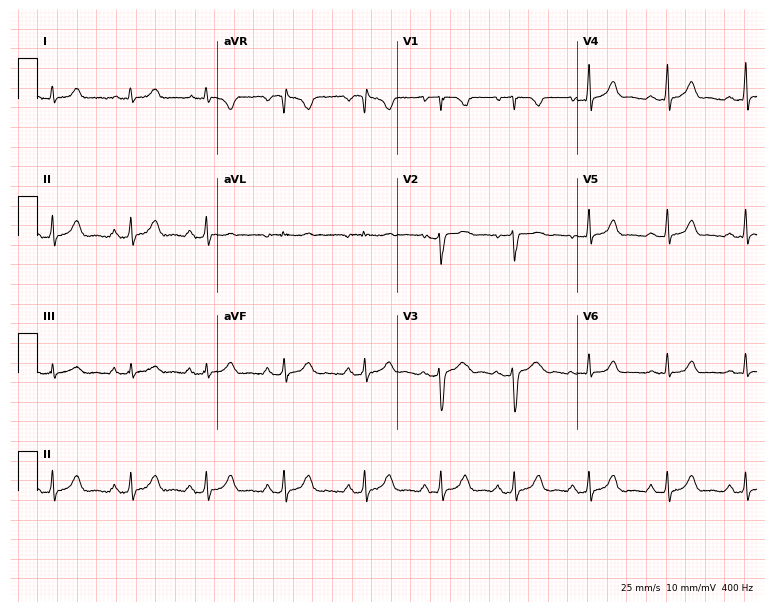
12-lead ECG from a 33-year-old female (7.3-second recording at 400 Hz). Recorded interpretation: within normal limits.